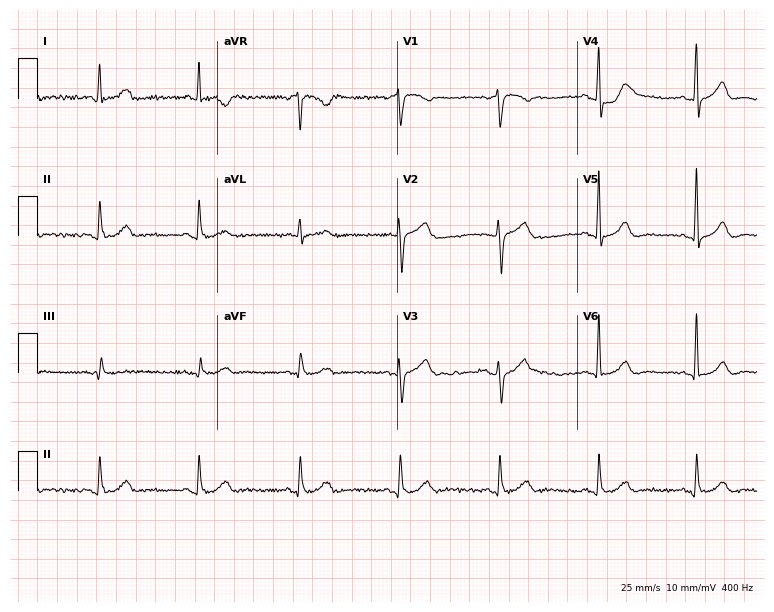
12-lead ECG from a 73-year-old male. Recorded interpretation: within normal limits.